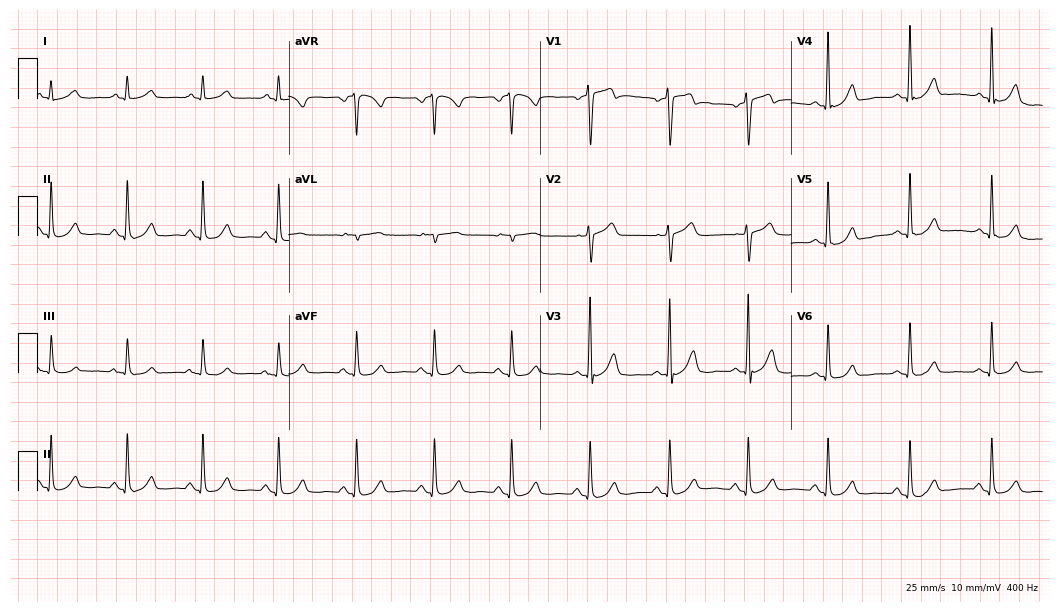
12-lead ECG from a 63-year-old male patient. Labelled as a normal ECG.